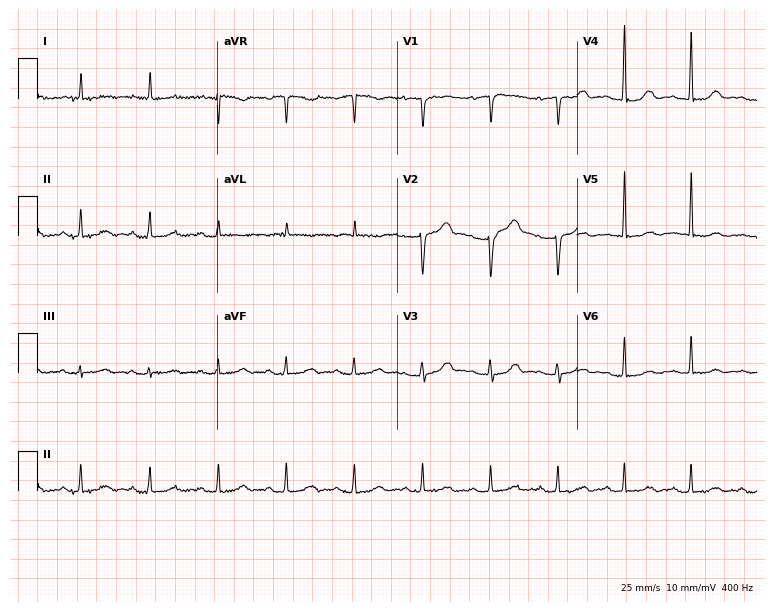
Electrocardiogram (7.3-second recording at 400 Hz), an 80-year-old woman. Overall reading on record: normal ECG.